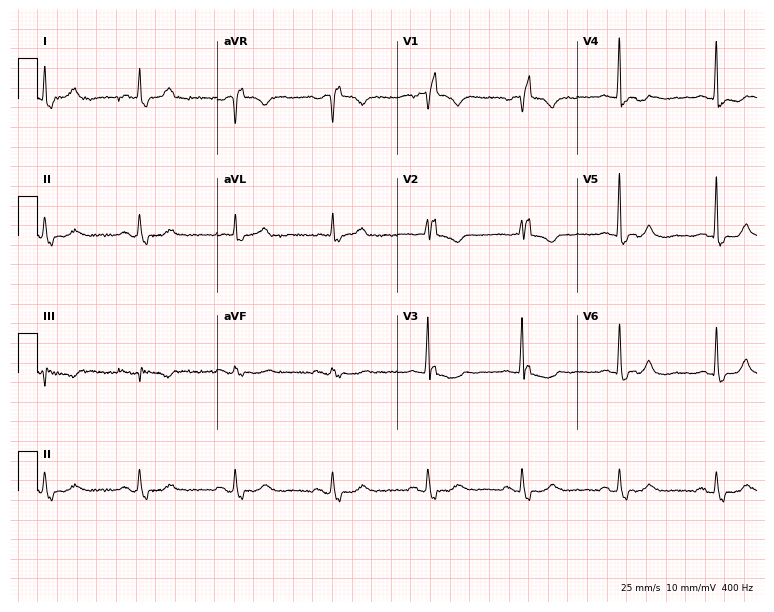
12-lead ECG from a female patient, 79 years old. Shows right bundle branch block.